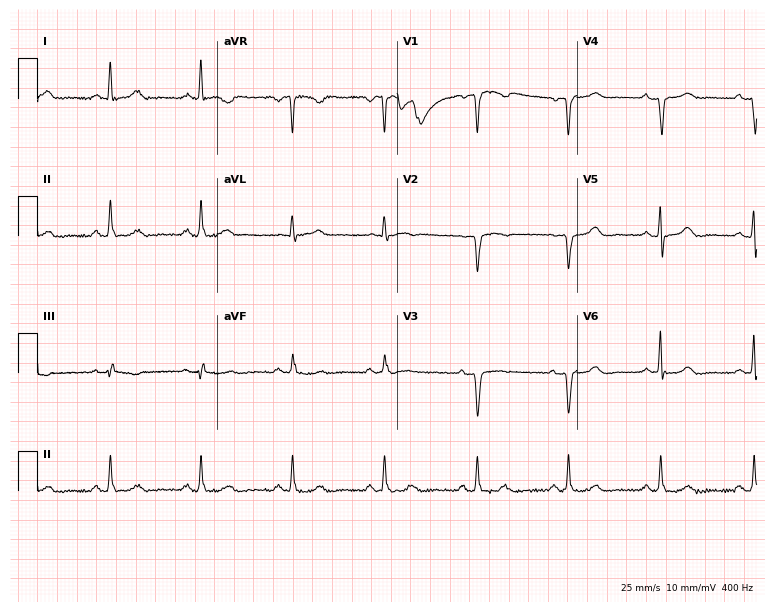
ECG (7.3-second recording at 400 Hz) — a female patient, 68 years old. Screened for six findings — first-degree AV block, right bundle branch block, left bundle branch block, sinus bradycardia, atrial fibrillation, sinus tachycardia — none is recorded. Findings outside these six are not listed.